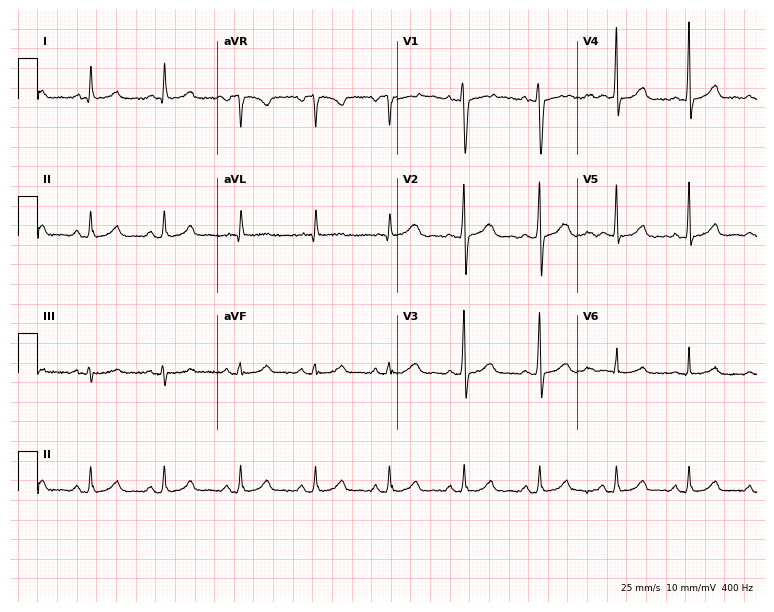
Standard 12-lead ECG recorded from a female patient, 43 years old. Read as a normal ECG.